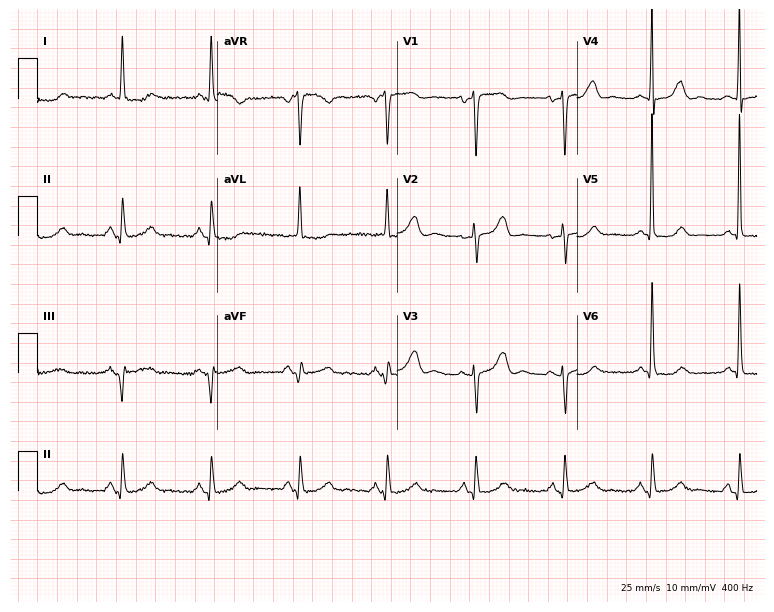
Resting 12-lead electrocardiogram. Patient: a female, 81 years old. None of these six findings is recorded: first-degree AV block, right bundle branch block, left bundle branch block, sinus bradycardia, atrial fibrillation, sinus tachycardia.